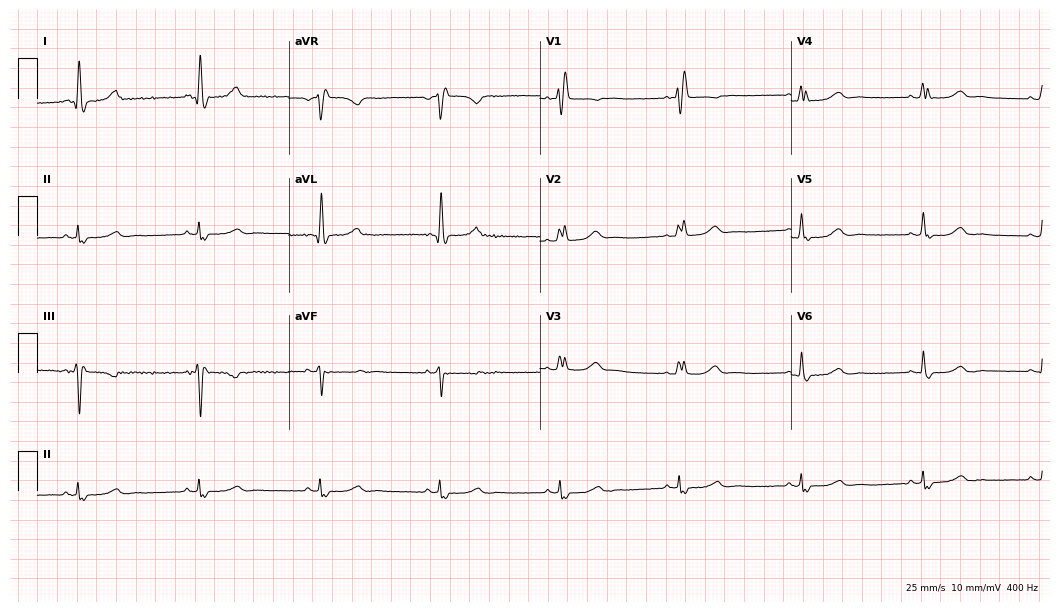
Standard 12-lead ECG recorded from a 63-year-old woman (10.2-second recording at 400 Hz). None of these six findings is recorded: first-degree AV block, right bundle branch block (RBBB), left bundle branch block (LBBB), sinus bradycardia, atrial fibrillation (AF), sinus tachycardia.